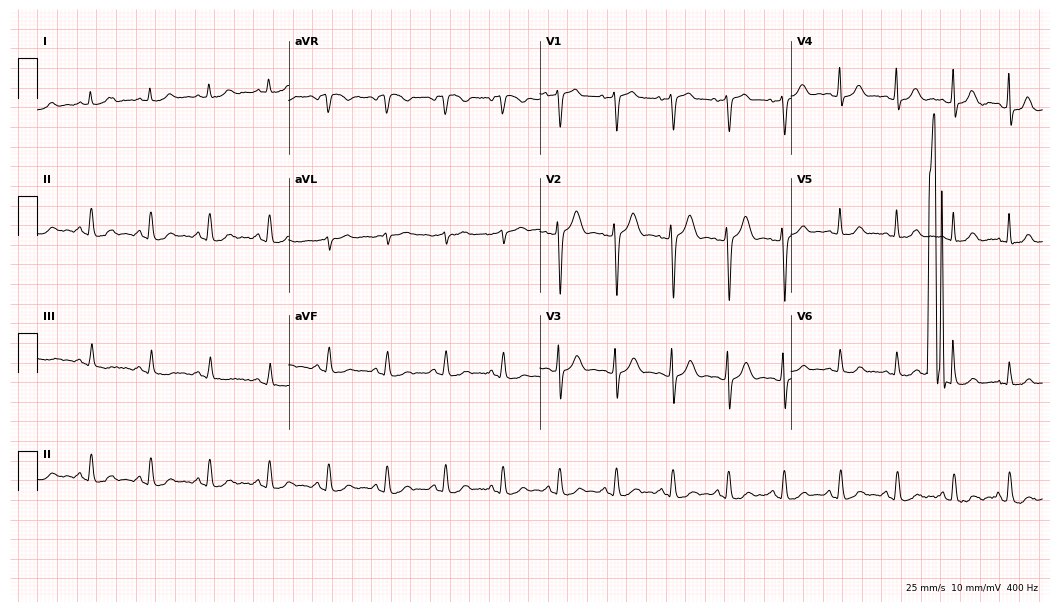
ECG — a woman, 48 years old. Findings include sinus tachycardia (a sinus rate of 100 beats per minute or more).